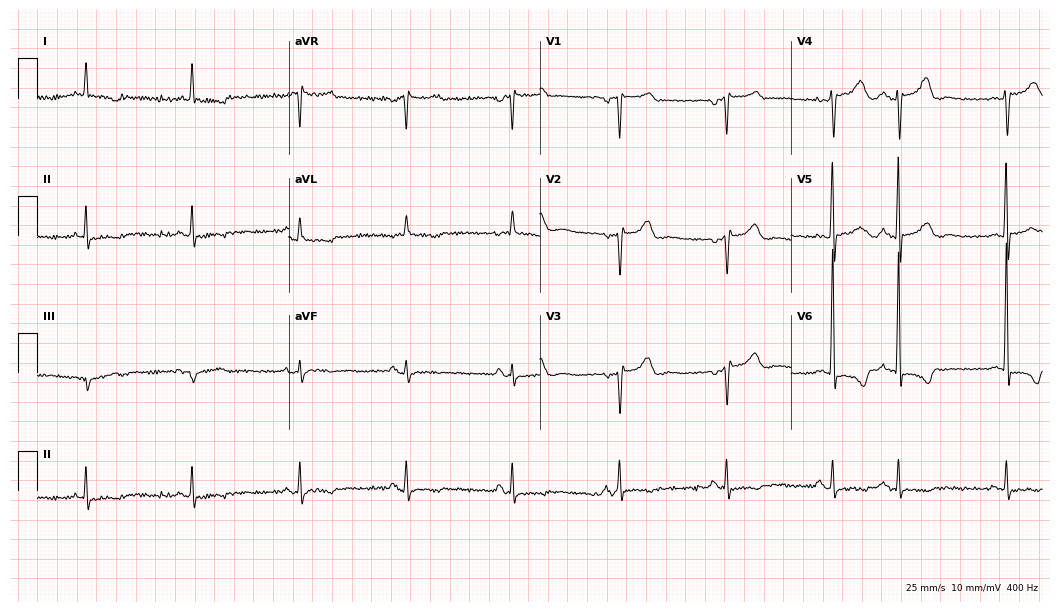
Electrocardiogram, a male patient, 75 years old. Of the six screened findings (first-degree AV block, right bundle branch block (RBBB), left bundle branch block (LBBB), sinus bradycardia, atrial fibrillation (AF), sinus tachycardia), none is recorded. Findings outside these six are not listed.